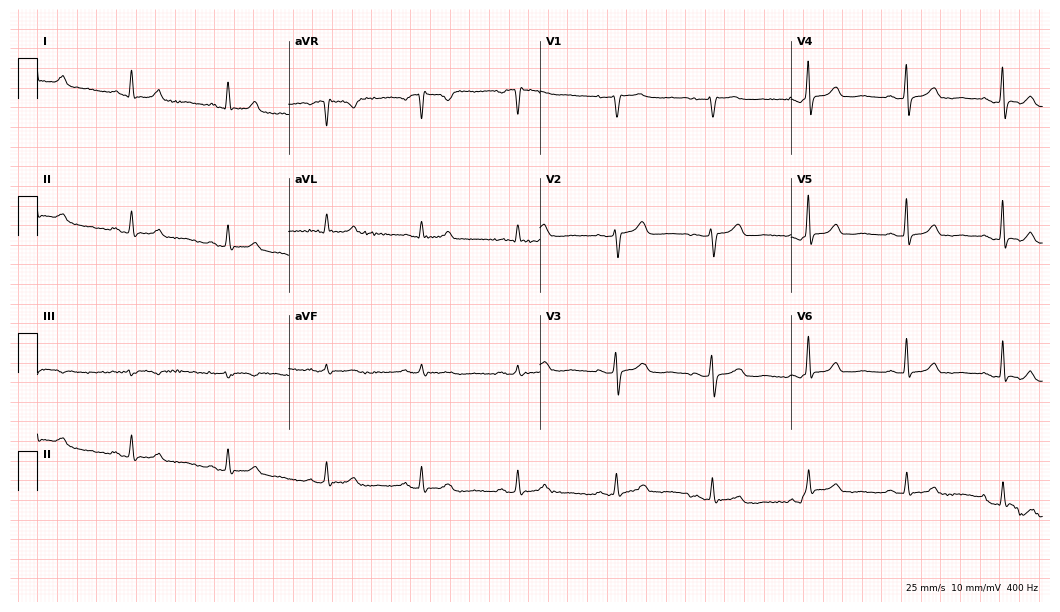
ECG — a 75-year-old female. Labelled as a normal ECG.